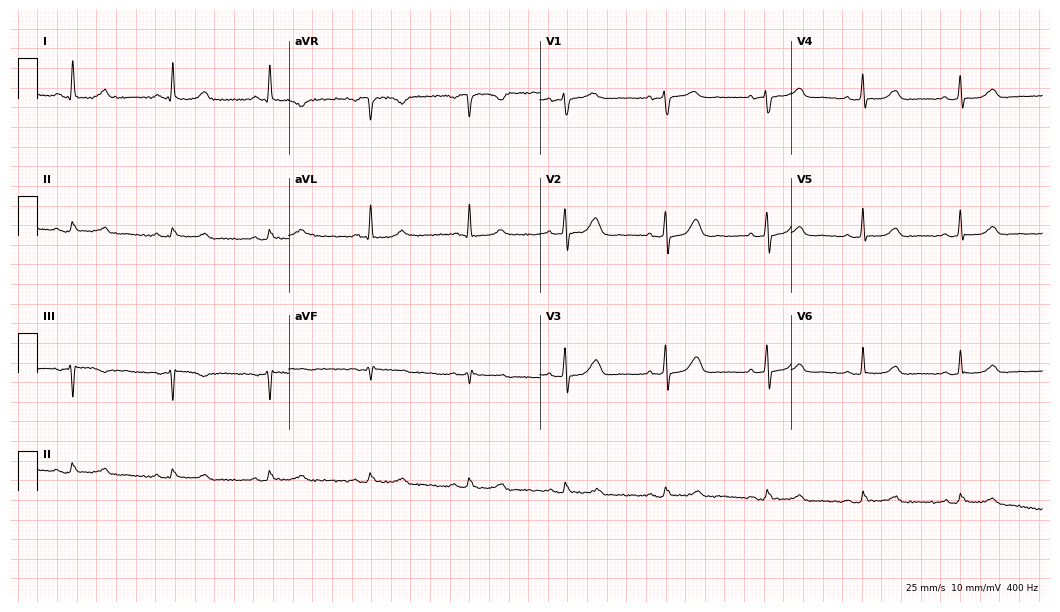
12-lead ECG from a 70-year-old woman. Recorded interpretation: within normal limits.